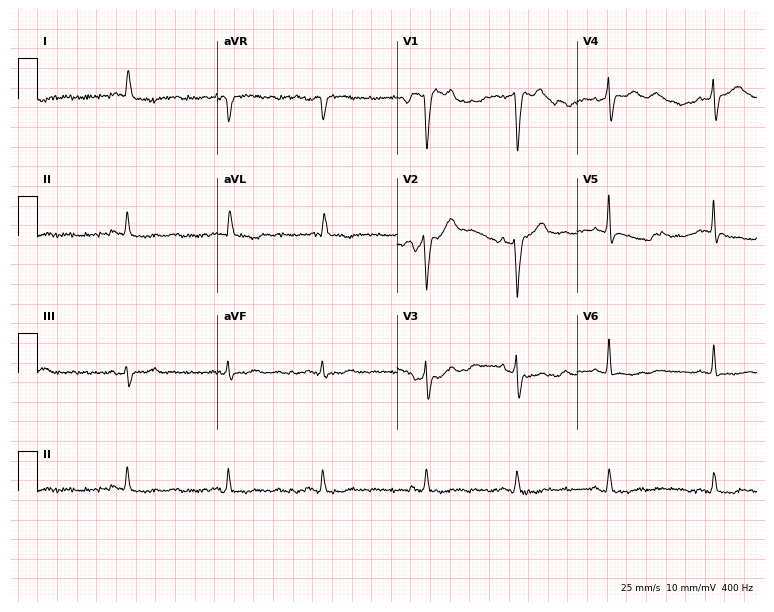
Resting 12-lead electrocardiogram. Patient: a 77-year-old male. None of these six findings is recorded: first-degree AV block, right bundle branch block, left bundle branch block, sinus bradycardia, atrial fibrillation, sinus tachycardia. Findings outside these six are not listed.